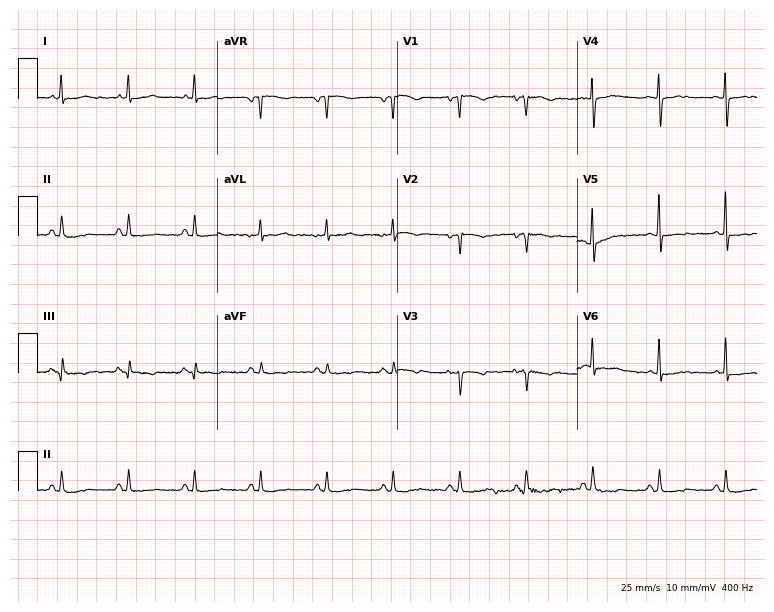
Standard 12-lead ECG recorded from a woman, 83 years old. None of these six findings is recorded: first-degree AV block, right bundle branch block, left bundle branch block, sinus bradycardia, atrial fibrillation, sinus tachycardia.